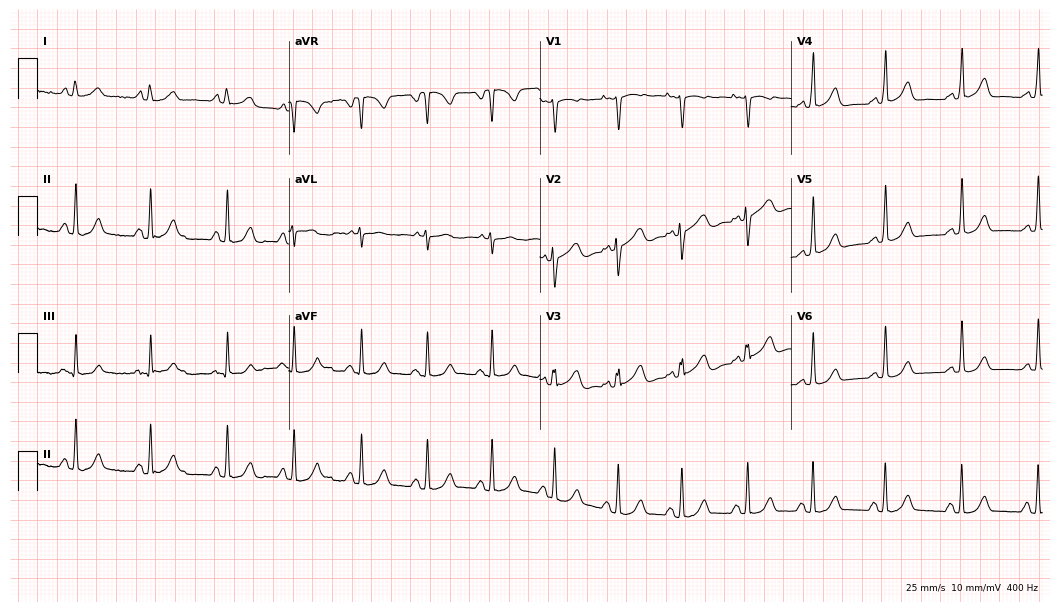
ECG (10.2-second recording at 400 Hz) — a 23-year-old female. Screened for six findings — first-degree AV block, right bundle branch block, left bundle branch block, sinus bradycardia, atrial fibrillation, sinus tachycardia — none is recorded. Only these six findings were labelled.